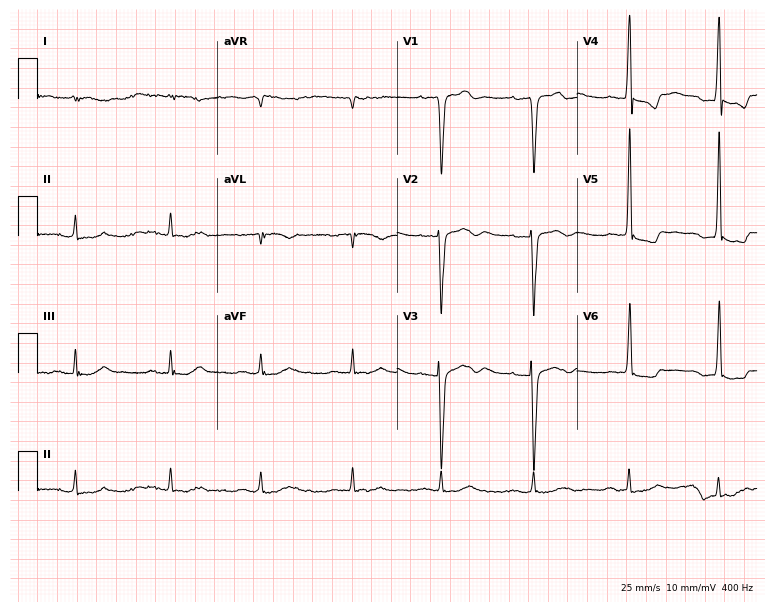
12-lead ECG from a male patient, 79 years old. Screened for six findings — first-degree AV block, right bundle branch block, left bundle branch block, sinus bradycardia, atrial fibrillation, sinus tachycardia — none is recorded. Only these six findings were labelled.